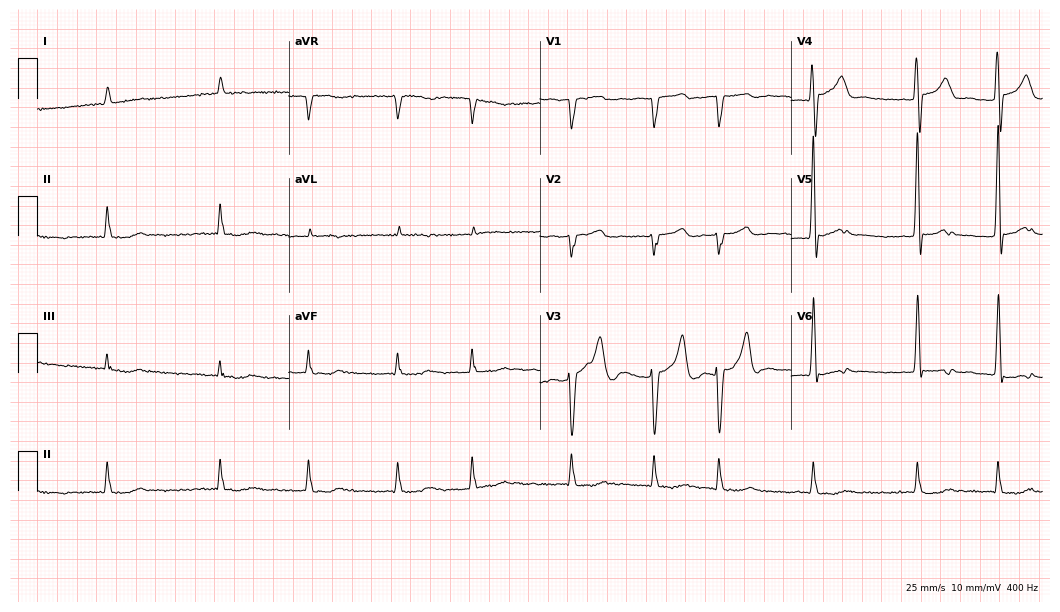
12-lead ECG from an 84-year-old male patient. Shows atrial fibrillation.